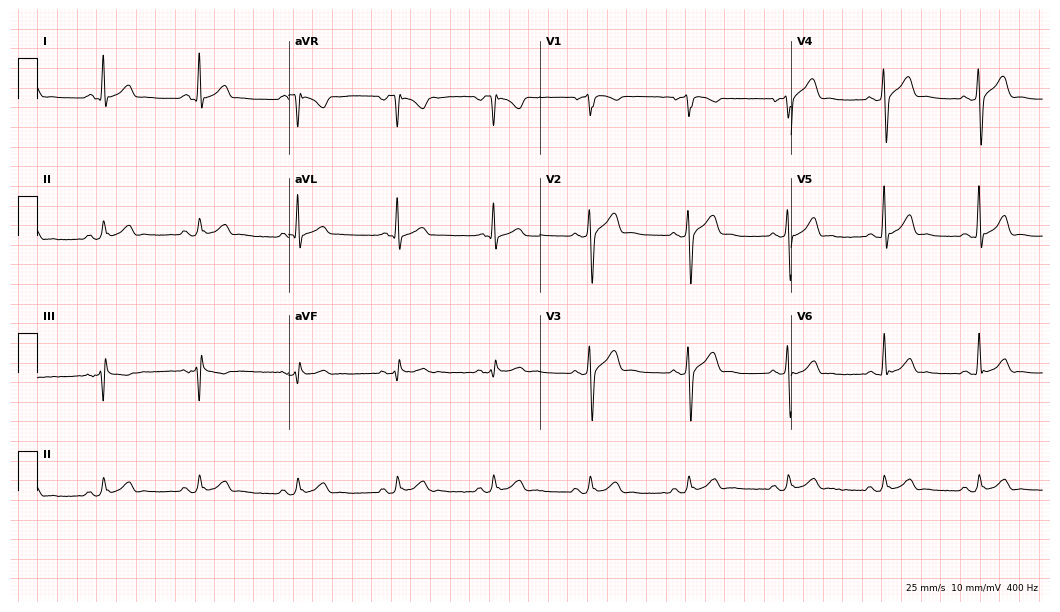
ECG — a 37-year-old male patient. Screened for six findings — first-degree AV block, right bundle branch block (RBBB), left bundle branch block (LBBB), sinus bradycardia, atrial fibrillation (AF), sinus tachycardia — none is recorded.